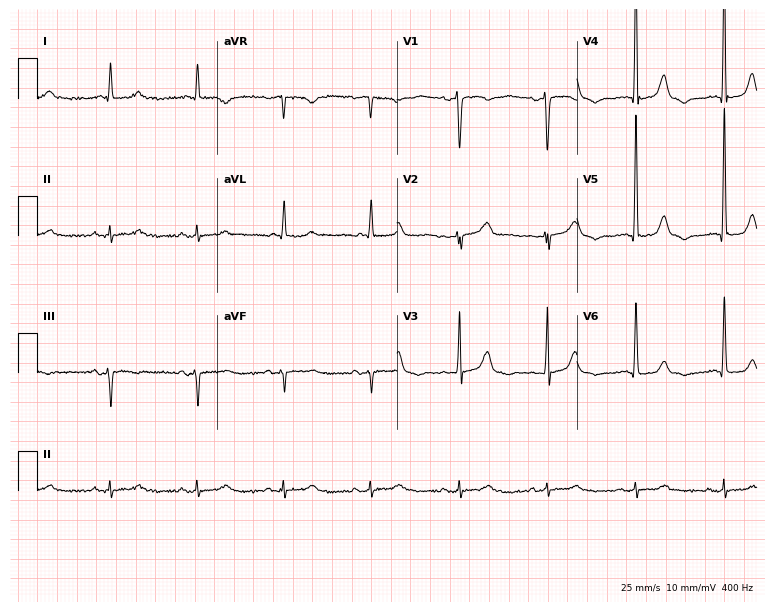
ECG (7.3-second recording at 400 Hz) — a female patient, 81 years old. Labelled as a normal ECG.